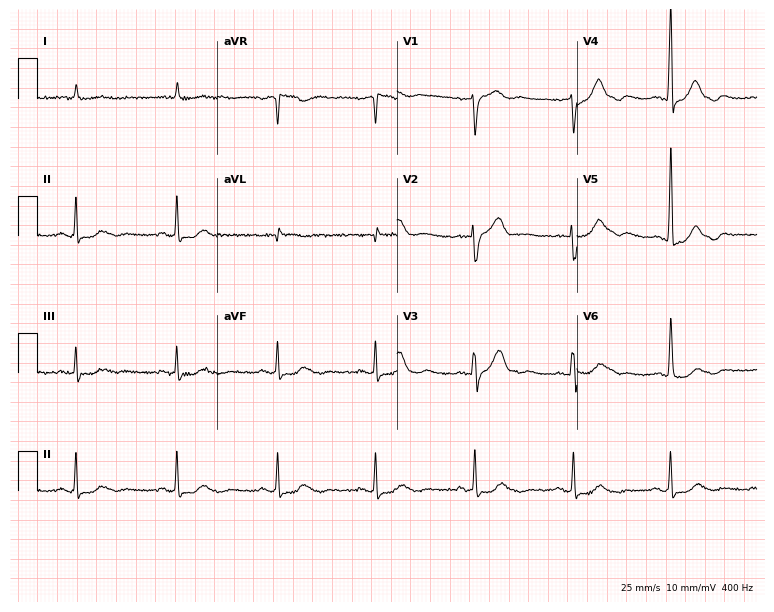
Standard 12-lead ECG recorded from a man, 81 years old (7.3-second recording at 400 Hz). None of these six findings is recorded: first-degree AV block, right bundle branch block, left bundle branch block, sinus bradycardia, atrial fibrillation, sinus tachycardia. Other findings, if any, are not listed.